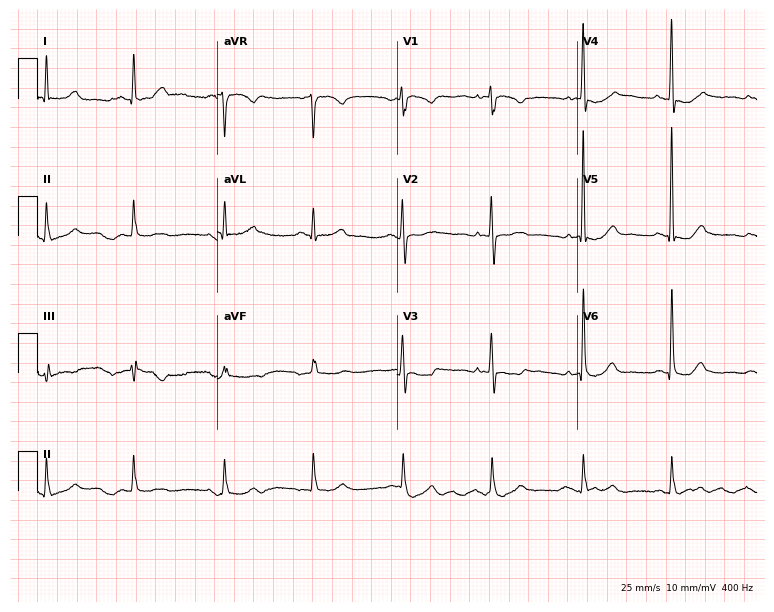
Electrocardiogram, a 70-year-old male. Overall reading on record: normal ECG.